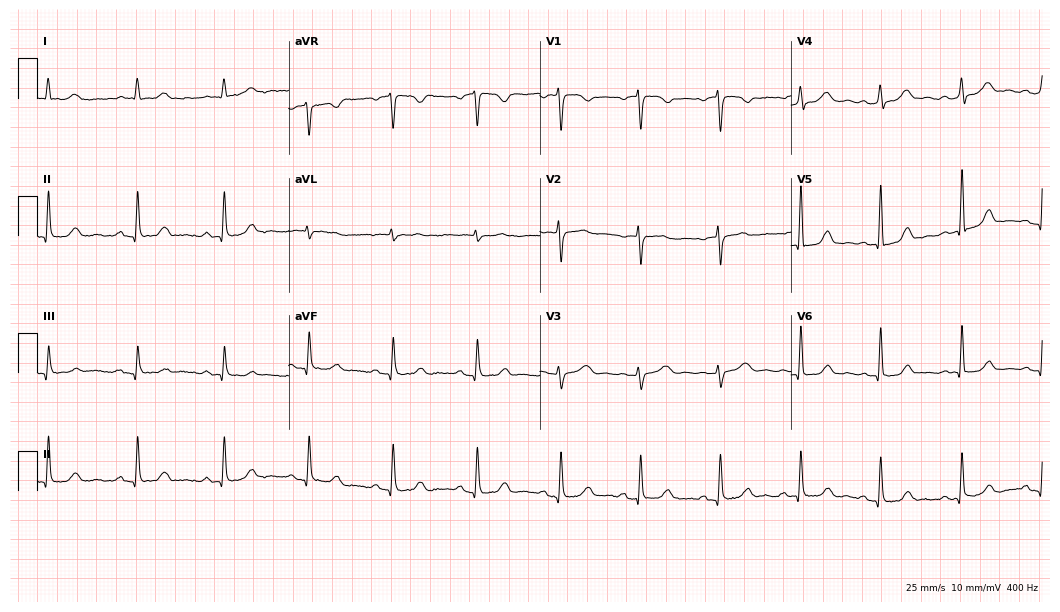
12-lead ECG from a 50-year-old female. Labelled as a normal ECG.